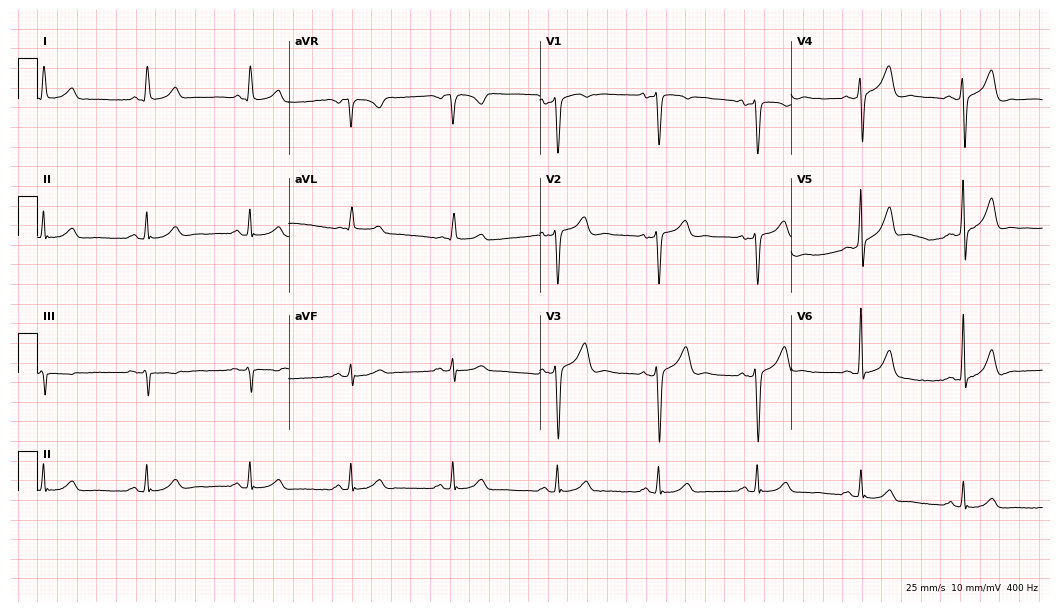
ECG — a 53-year-old male patient. Labelled as a normal ECG.